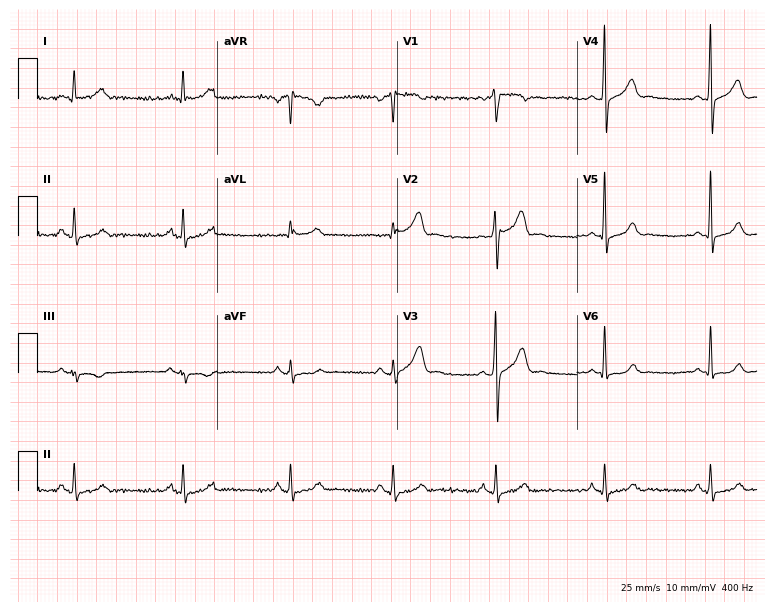
Resting 12-lead electrocardiogram. Patient: a male, 30 years old. Read as a normal ECG.